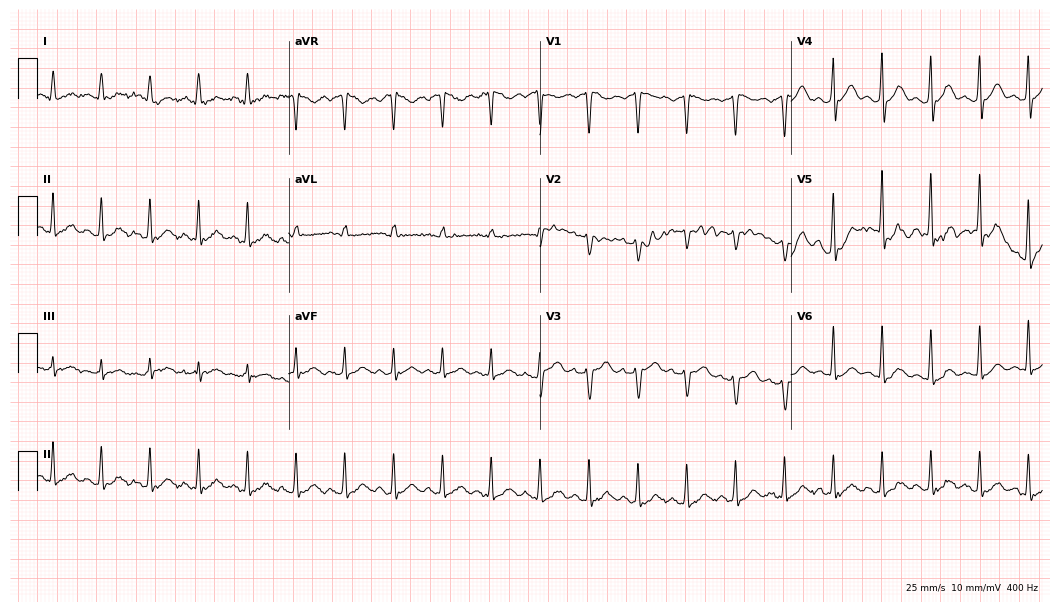
Standard 12-lead ECG recorded from a female, 37 years old. The tracing shows sinus tachycardia (a sinus rate of 100 beats per minute or more).